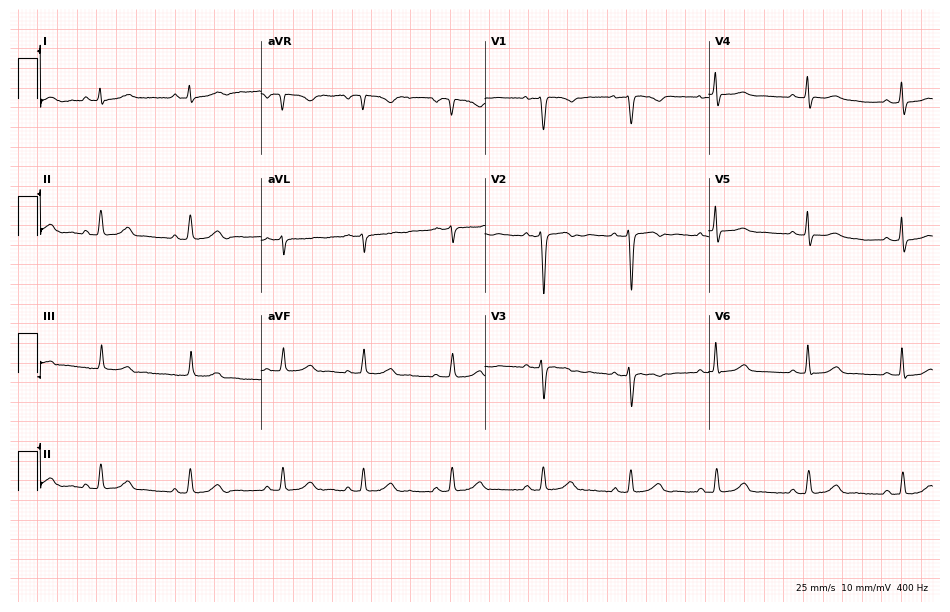
Resting 12-lead electrocardiogram (9.1-second recording at 400 Hz). Patient: a 41-year-old woman. None of these six findings is recorded: first-degree AV block, right bundle branch block, left bundle branch block, sinus bradycardia, atrial fibrillation, sinus tachycardia. Only these six findings were labelled.